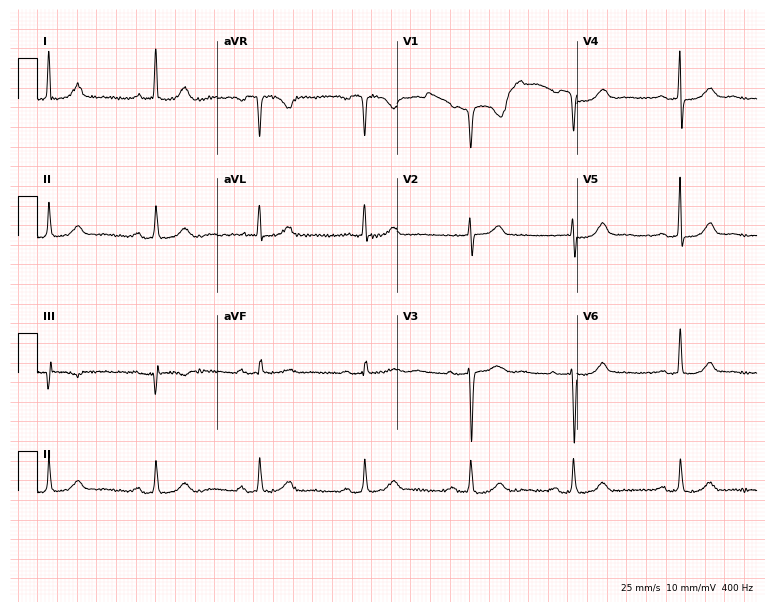
Electrocardiogram (7.3-second recording at 400 Hz), a woman, 70 years old. Overall reading on record: normal ECG.